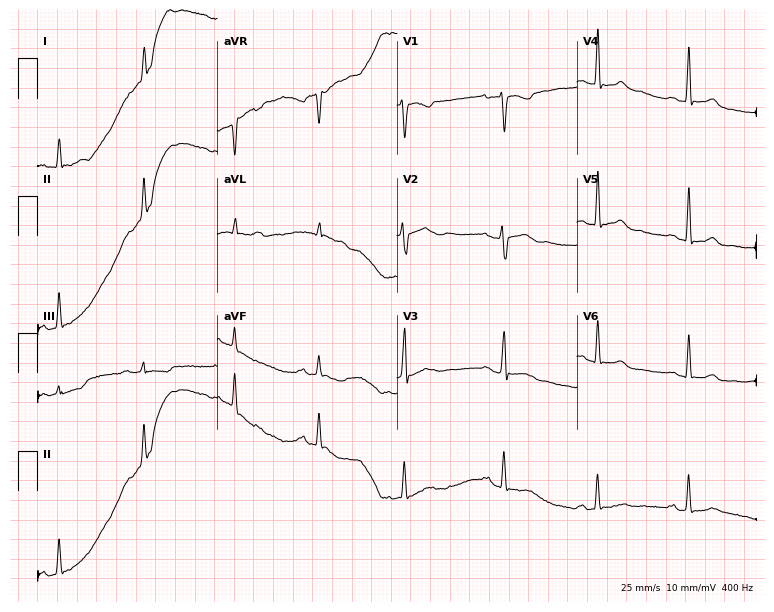
ECG — a 35-year-old female patient. Screened for six findings — first-degree AV block, right bundle branch block, left bundle branch block, sinus bradycardia, atrial fibrillation, sinus tachycardia — none is recorded.